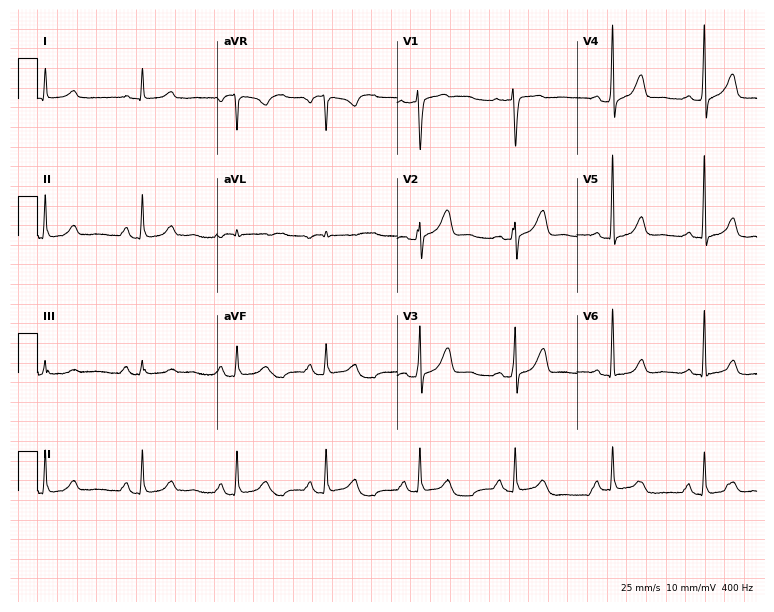
12-lead ECG from a 60-year-old female patient. Screened for six findings — first-degree AV block, right bundle branch block, left bundle branch block, sinus bradycardia, atrial fibrillation, sinus tachycardia — none is recorded.